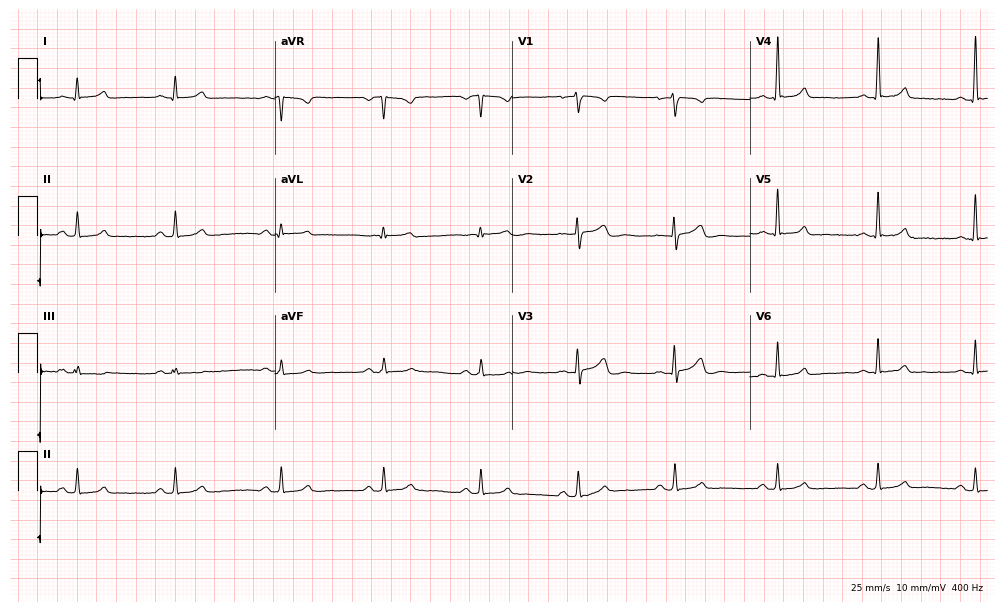
12-lead ECG (9.7-second recording at 400 Hz) from a woman, 34 years old. Labelled as a normal ECG.